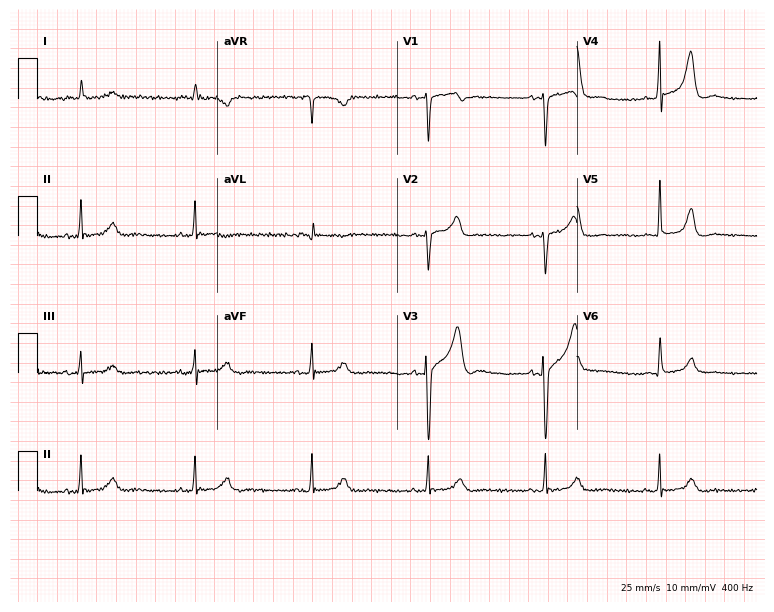
Electrocardiogram, a man, 79 years old. Overall reading on record: normal ECG.